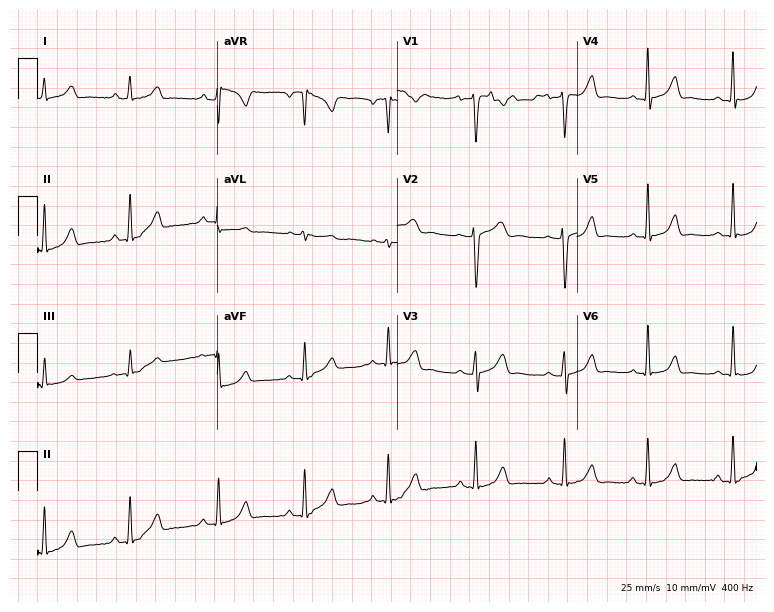
ECG (7.3-second recording at 400 Hz) — a female, 26 years old. Screened for six findings — first-degree AV block, right bundle branch block (RBBB), left bundle branch block (LBBB), sinus bradycardia, atrial fibrillation (AF), sinus tachycardia — none is recorded. Only these six findings were labelled.